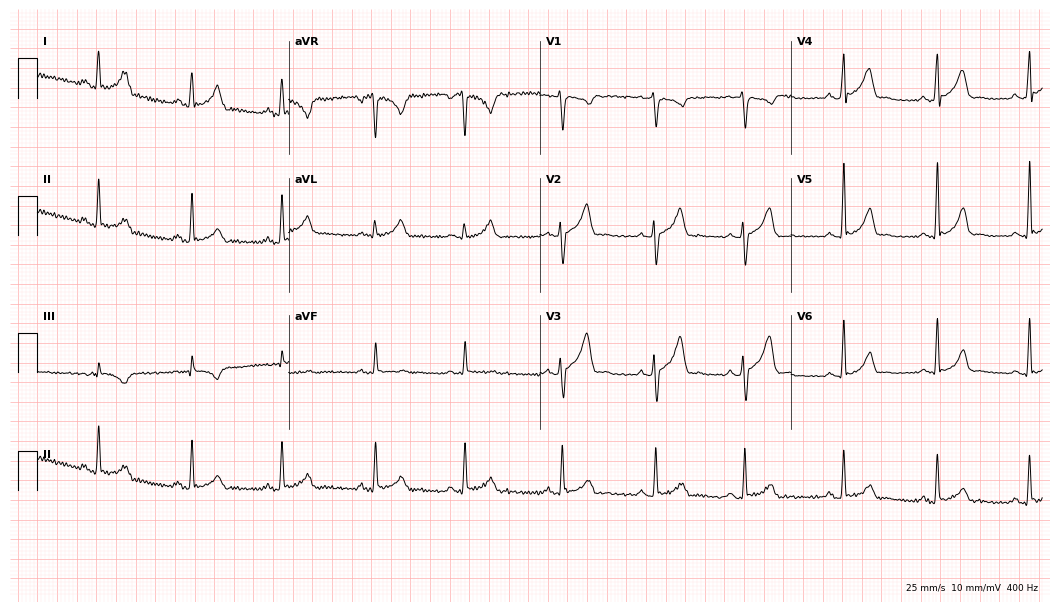
Electrocardiogram (10.2-second recording at 400 Hz), a 31-year-old man. Of the six screened findings (first-degree AV block, right bundle branch block, left bundle branch block, sinus bradycardia, atrial fibrillation, sinus tachycardia), none is recorded.